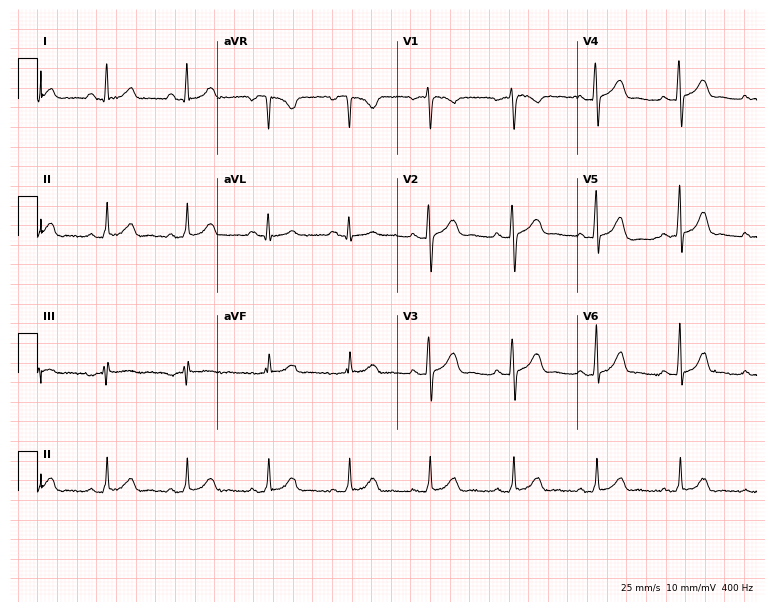
12-lead ECG from a female, 29 years old (7.3-second recording at 400 Hz). Recorded interpretation: within normal limits.